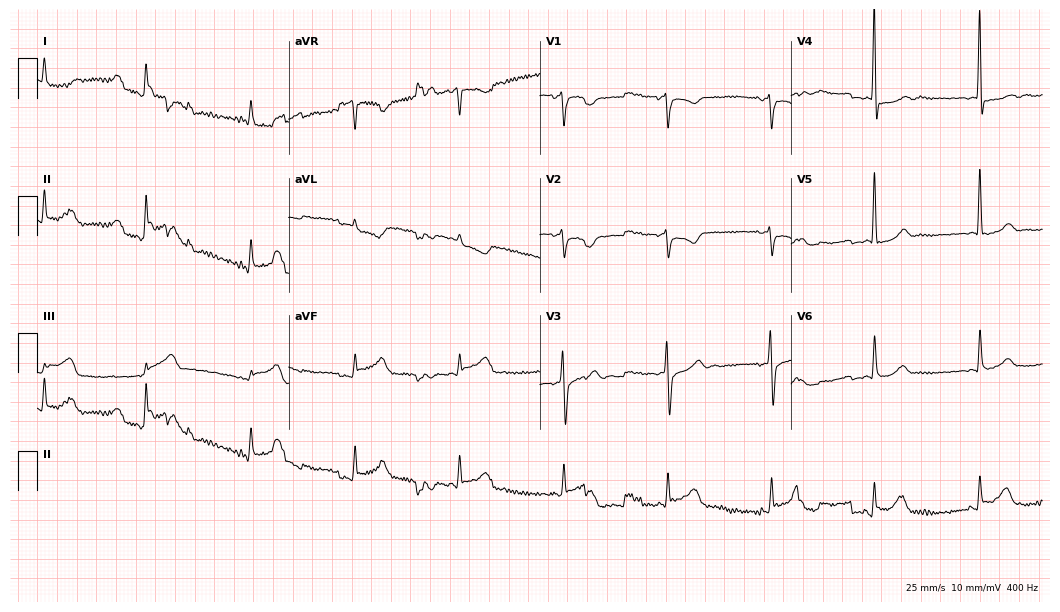
Resting 12-lead electrocardiogram (10.2-second recording at 400 Hz). Patient: a 73-year-old man. None of these six findings is recorded: first-degree AV block, right bundle branch block, left bundle branch block, sinus bradycardia, atrial fibrillation, sinus tachycardia.